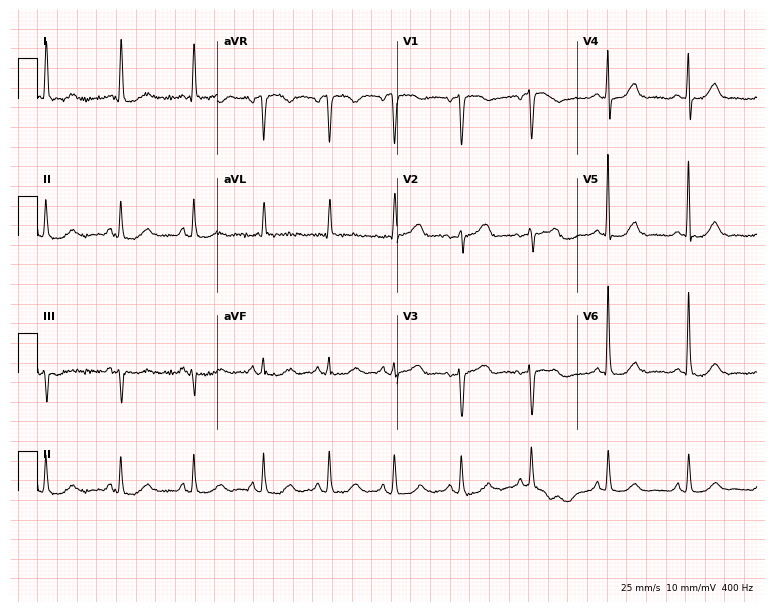
Electrocardiogram, a female, 72 years old. Of the six screened findings (first-degree AV block, right bundle branch block (RBBB), left bundle branch block (LBBB), sinus bradycardia, atrial fibrillation (AF), sinus tachycardia), none is recorded.